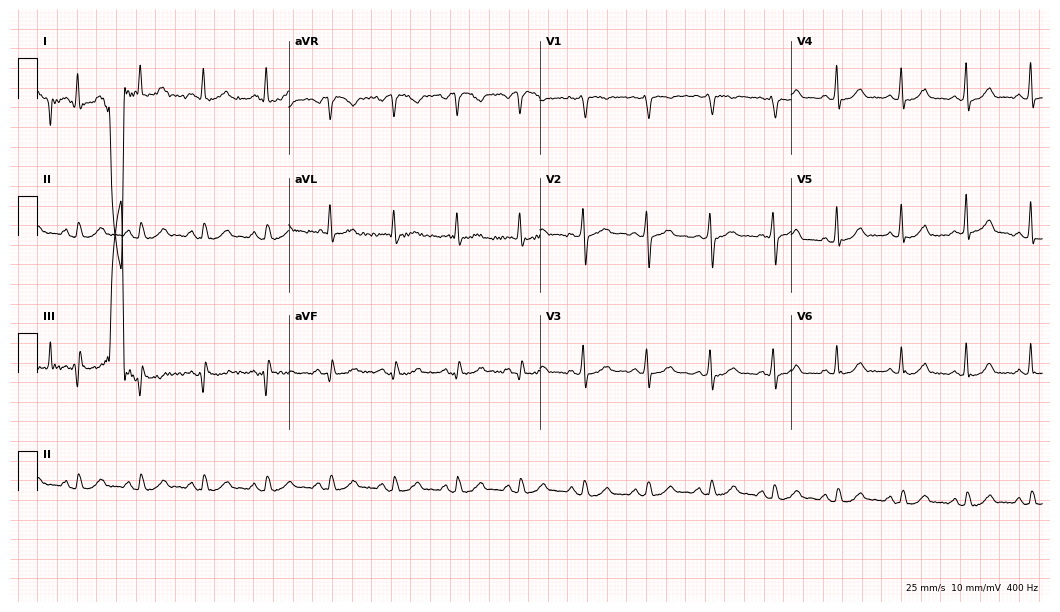
Electrocardiogram, a woman, 53 years old. Of the six screened findings (first-degree AV block, right bundle branch block, left bundle branch block, sinus bradycardia, atrial fibrillation, sinus tachycardia), none is recorded. Only these six findings were labelled.